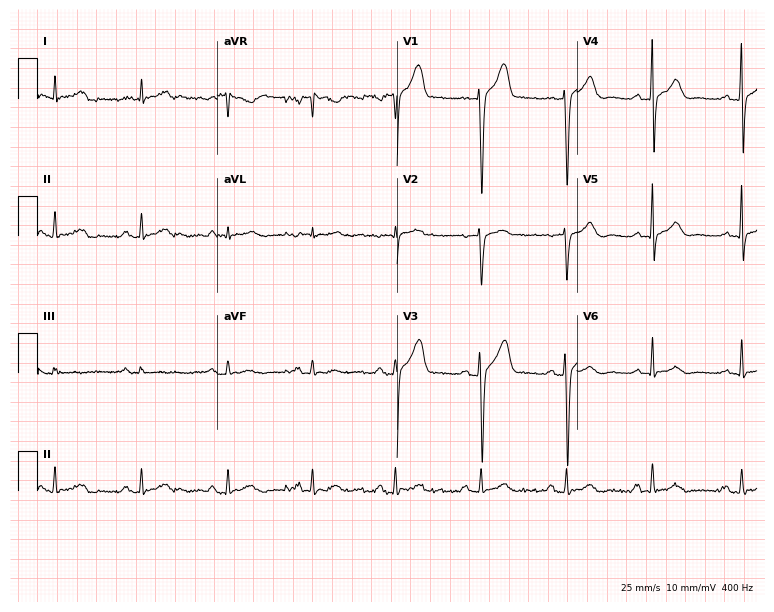
12-lead ECG (7.3-second recording at 400 Hz) from a male, 45 years old. Labelled as a normal ECG.